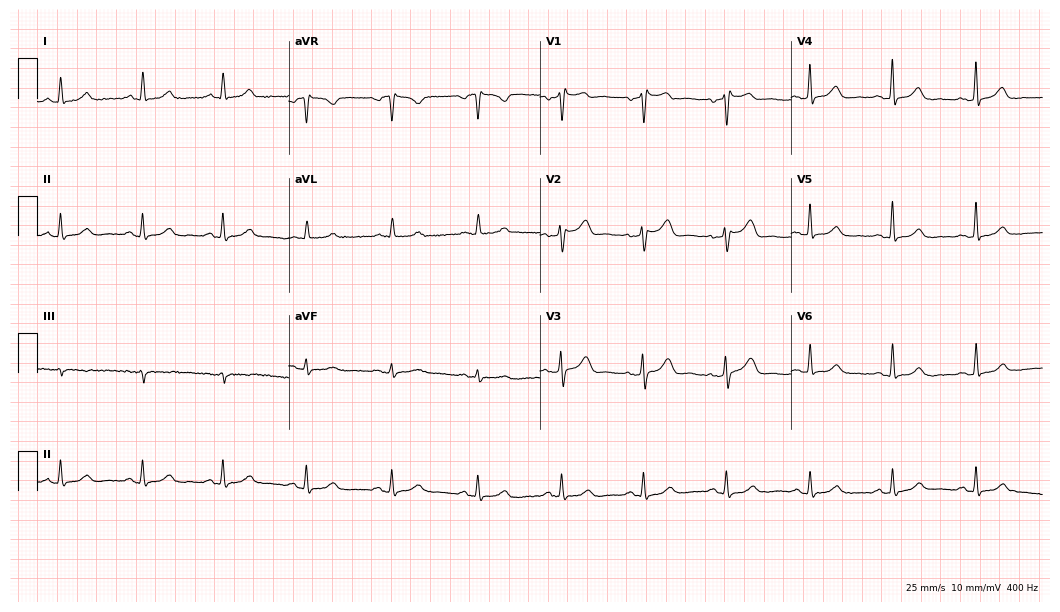
Electrocardiogram, a 60-year-old woman. Overall reading on record: normal ECG.